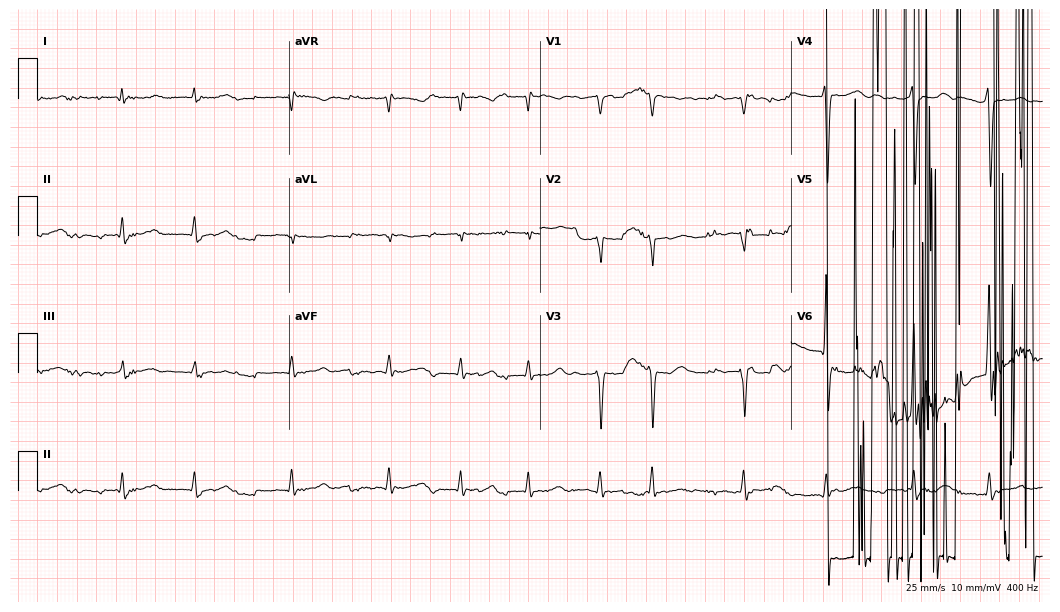
Resting 12-lead electrocardiogram. Patient: a male, 78 years old. The tracing shows atrial fibrillation (AF).